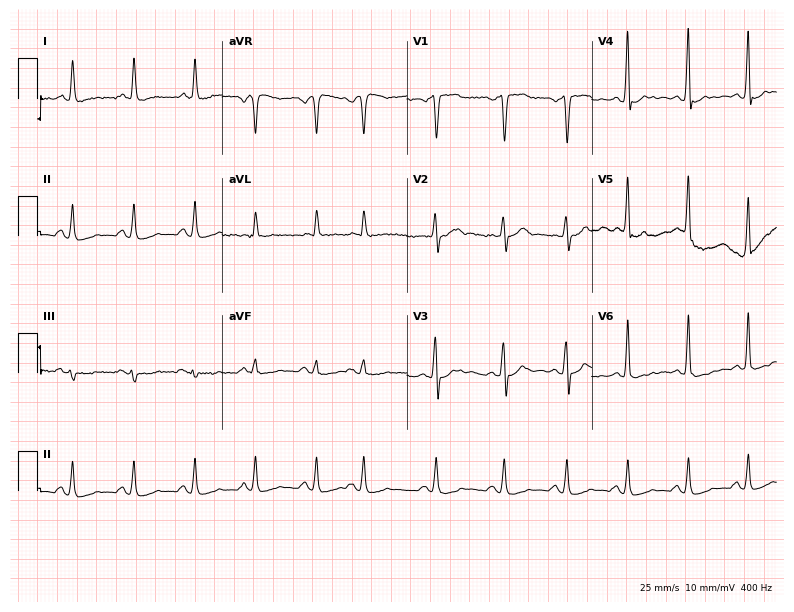
12-lead ECG from a male, 67 years old. No first-degree AV block, right bundle branch block, left bundle branch block, sinus bradycardia, atrial fibrillation or sinus tachycardia recorded for this tracing. Other findings, if any, are not listed.